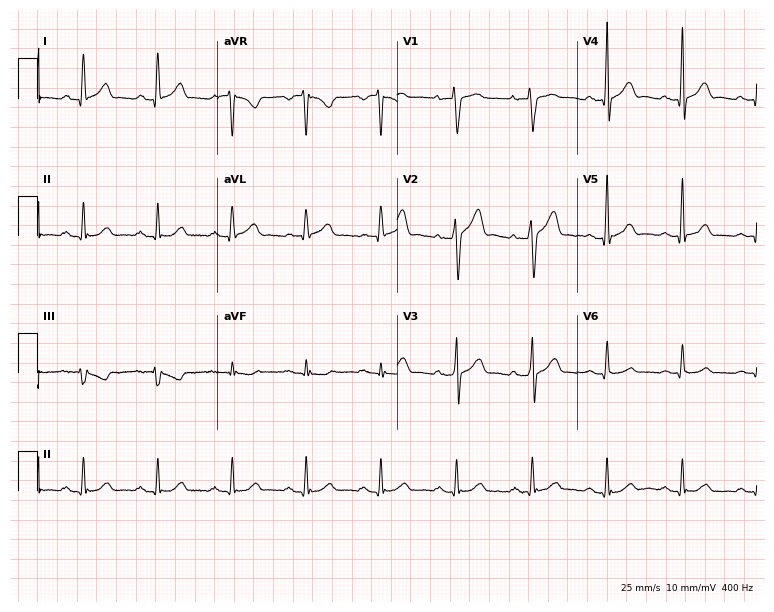
Standard 12-lead ECG recorded from a male patient, 56 years old (7.3-second recording at 400 Hz). Read as a normal ECG.